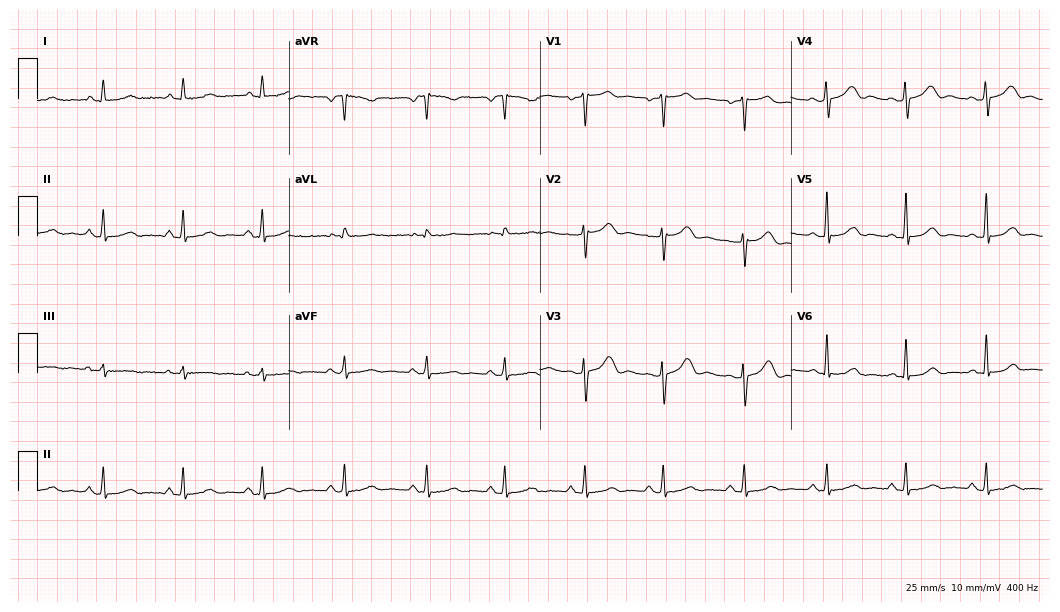
12-lead ECG (10.2-second recording at 400 Hz) from a 35-year-old female. Labelled as a normal ECG.